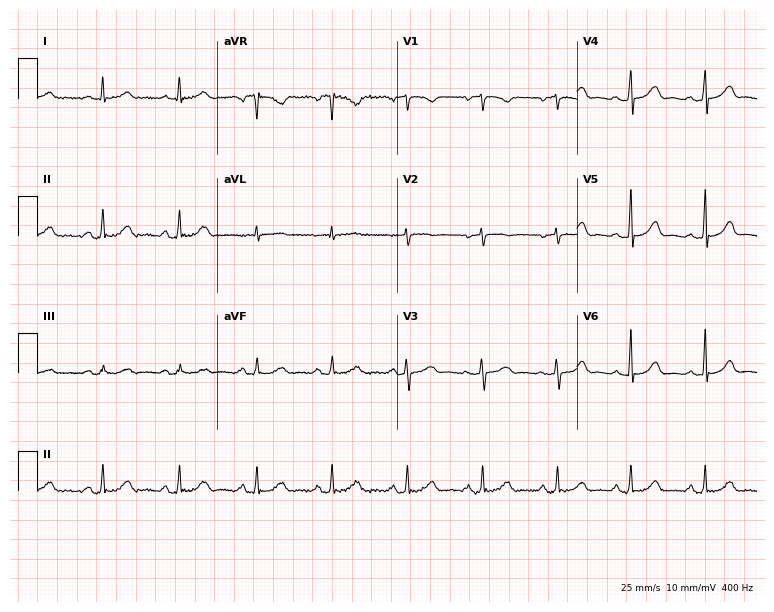
ECG (7.3-second recording at 400 Hz) — a 45-year-old female. Labelled as a normal ECG.